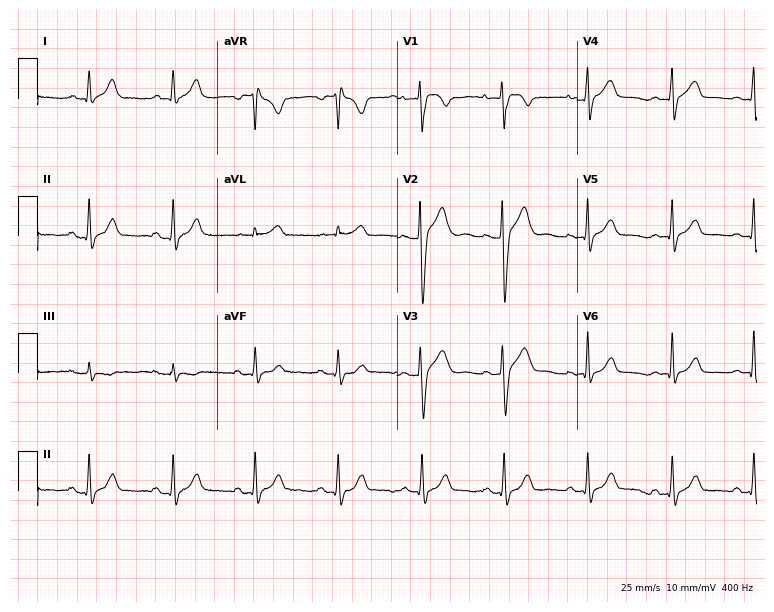
Electrocardiogram, a man, 33 years old. Overall reading on record: normal ECG.